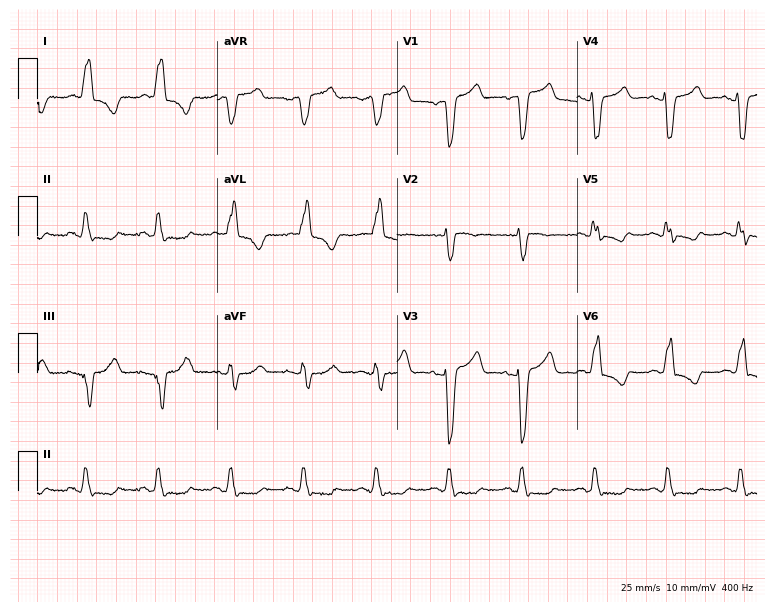
12-lead ECG from an 80-year-old woman. Findings include left bundle branch block.